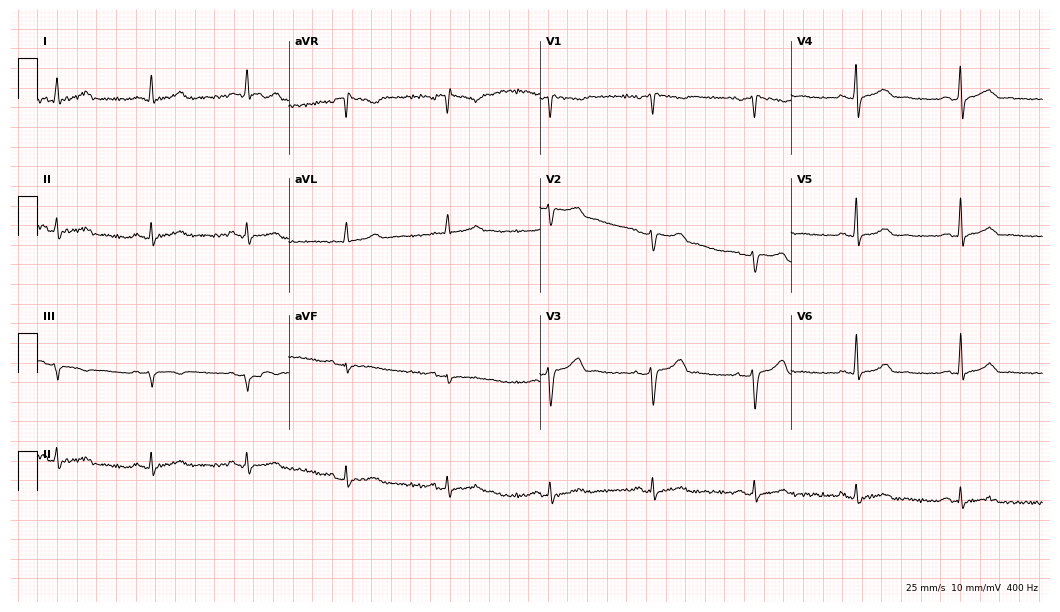
Resting 12-lead electrocardiogram. Patient: a 55-year-old man. None of these six findings is recorded: first-degree AV block, right bundle branch block (RBBB), left bundle branch block (LBBB), sinus bradycardia, atrial fibrillation (AF), sinus tachycardia. Other findings, if any, are not listed.